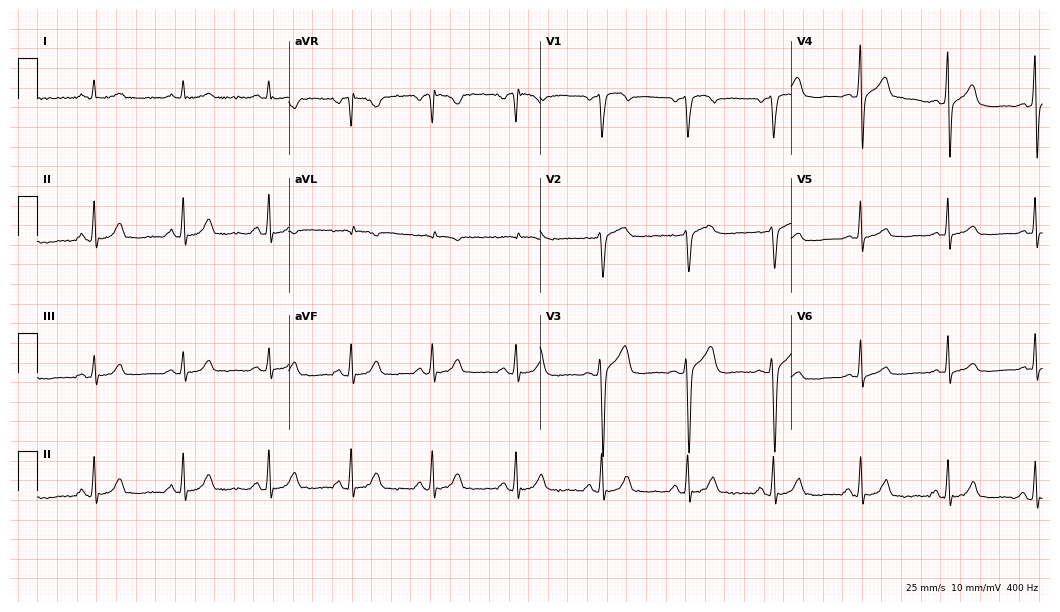
12-lead ECG from a 62-year-old man. Labelled as a normal ECG.